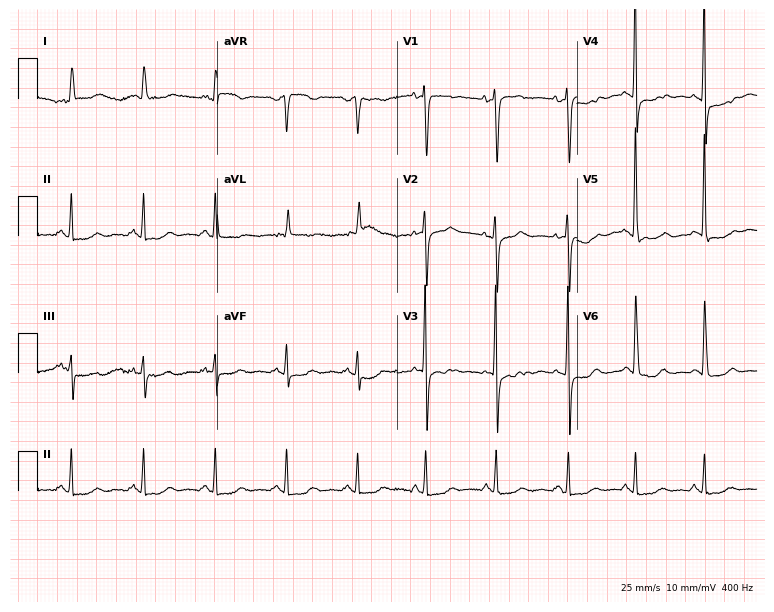
Electrocardiogram (7.3-second recording at 400 Hz), a female, 82 years old. Of the six screened findings (first-degree AV block, right bundle branch block, left bundle branch block, sinus bradycardia, atrial fibrillation, sinus tachycardia), none is recorded. Other findings, if any, are not listed.